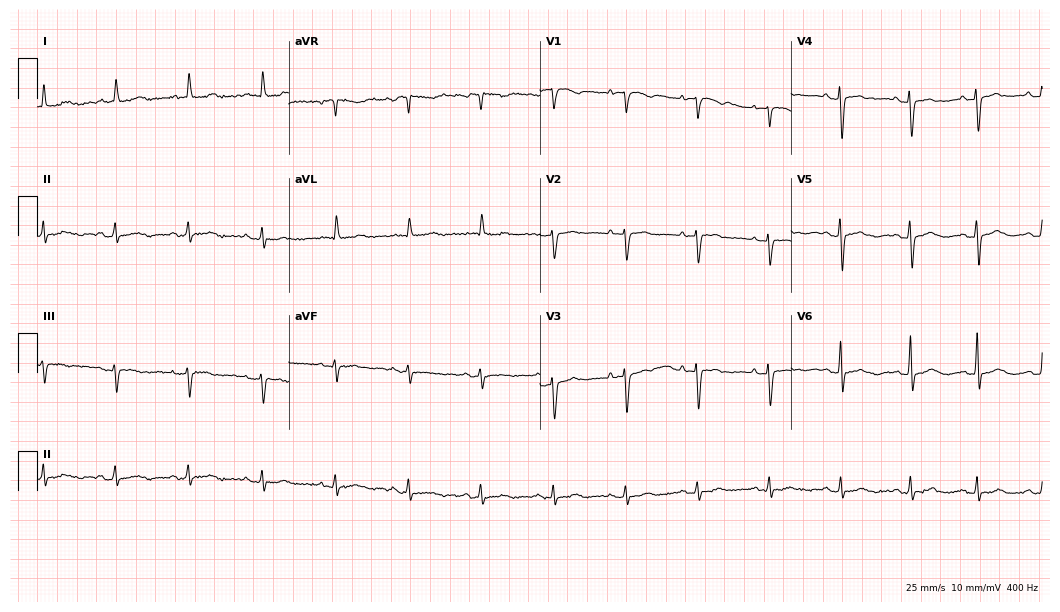
12-lead ECG (10.2-second recording at 400 Hz) from a 78-year-old female. Labelled as a normal ECG.